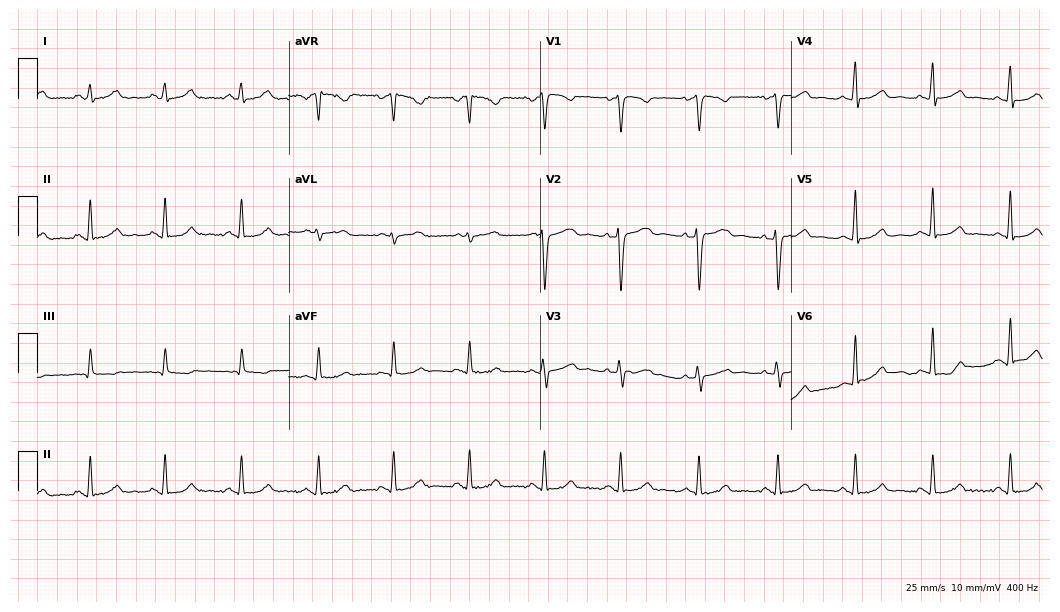
Electrocardiogram, a female, 44 years old. Overall reading on record: normal ECG.